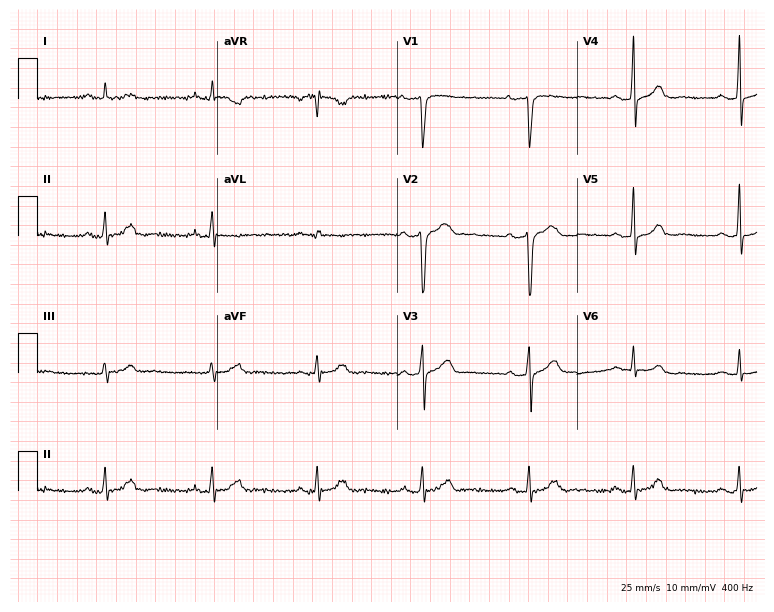
Standard 12-lead ECG recorded from a male, 45 years old. None of these six findings is recorded: first-degree AV block, right bundle branch block (RBBB), left bundle branch block (LBBB), sinus bradycardia, atrial fibrillation (AF), sinus tachycardia. Findings outside these six are not listed.